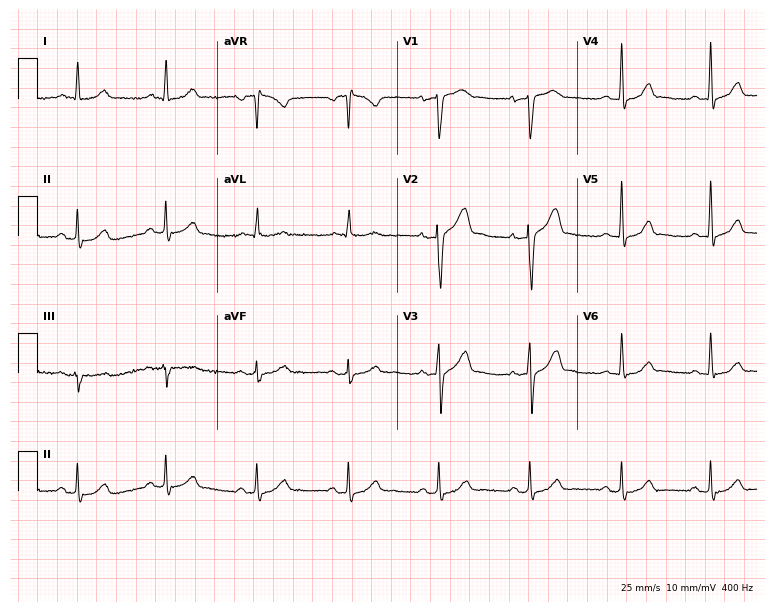
Resting 12-lead electrocardiogram. Patient: a man, 51 years old. Read as a normal ECG.